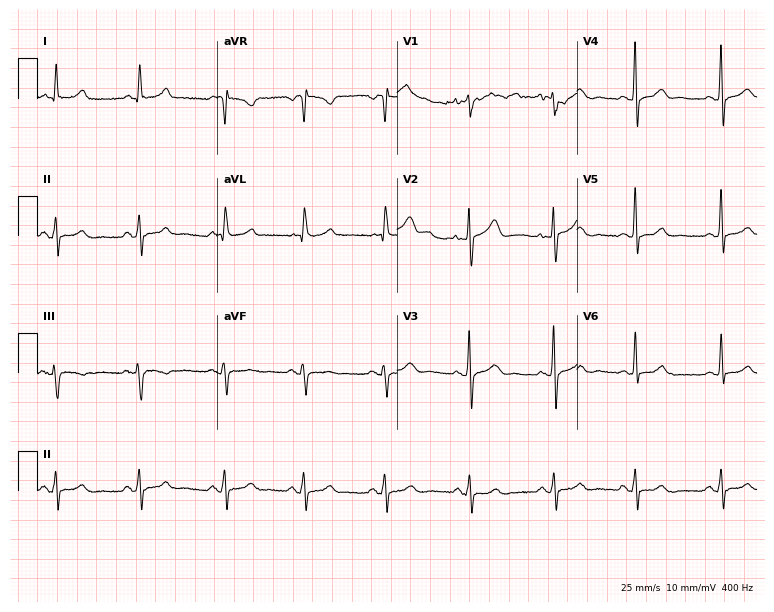
Resting 12-lead electrocardiogram. Patient: a woman, 72 years old. Read as a normal ECG.